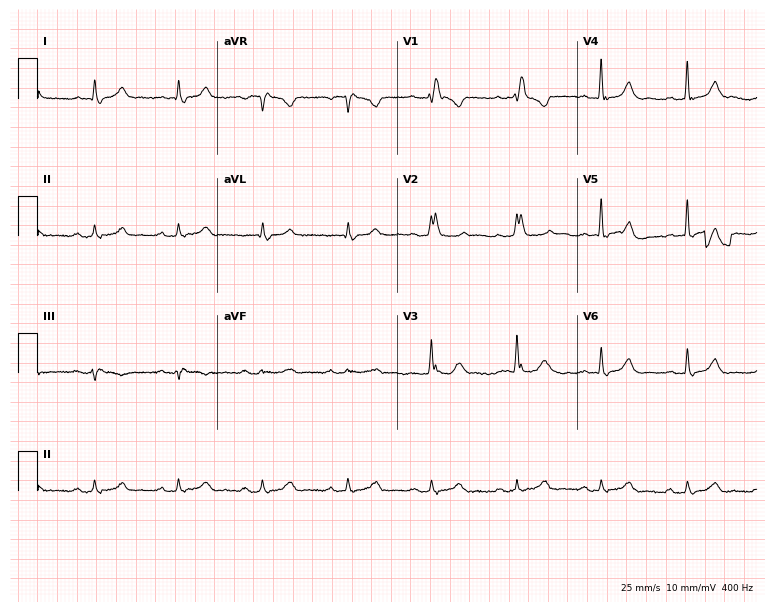
Resting 12-lead electrocardiogram (7.3-second recording at 400 Hz). Patient: a female, 85 years old. The tracing shows right bundle branch block (RBBB).